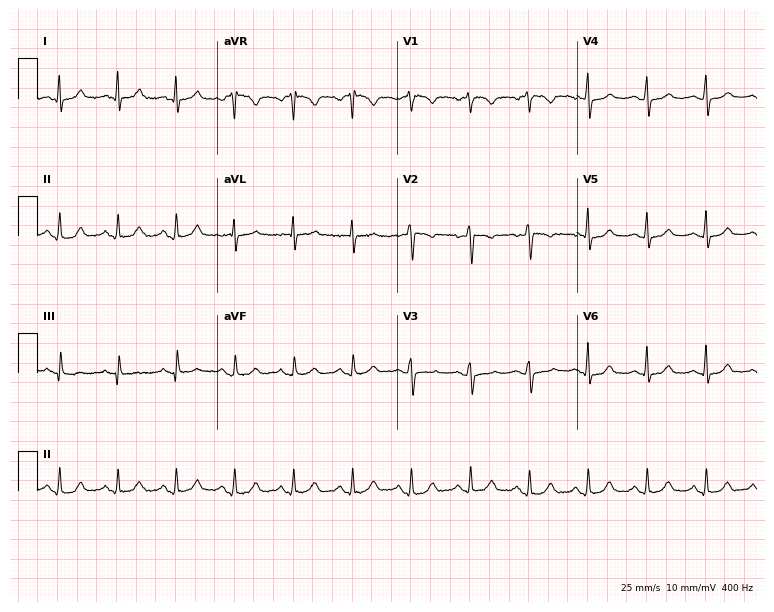
Resting 12-lead electrocardiogram. Patient: a male, 57 years old. Read as a normal ECG.